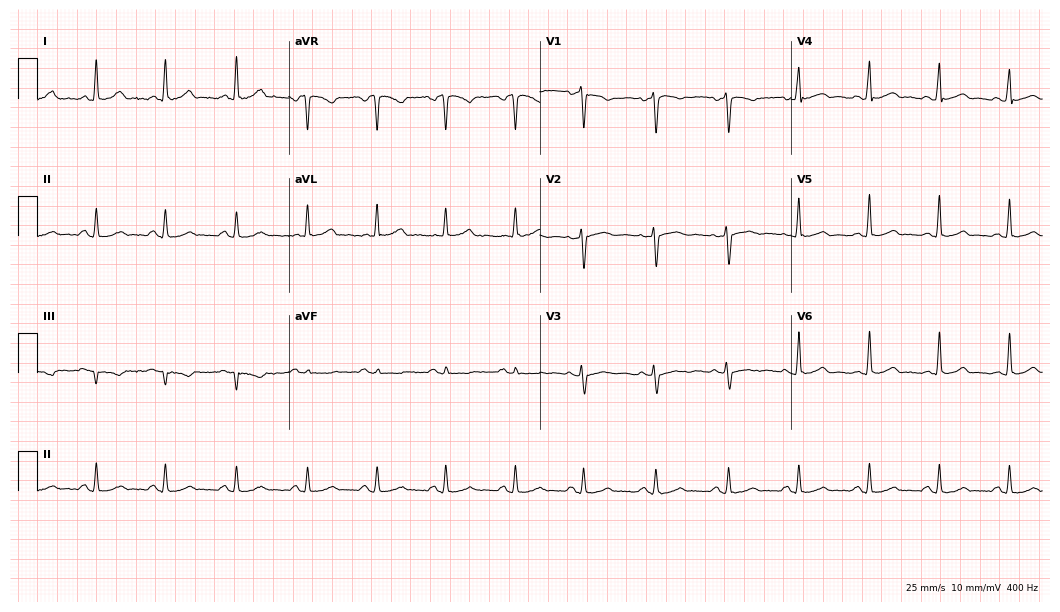
Standard 12-lead ECG recorded from a female patient, 38 years old. Read as a normal ECG.